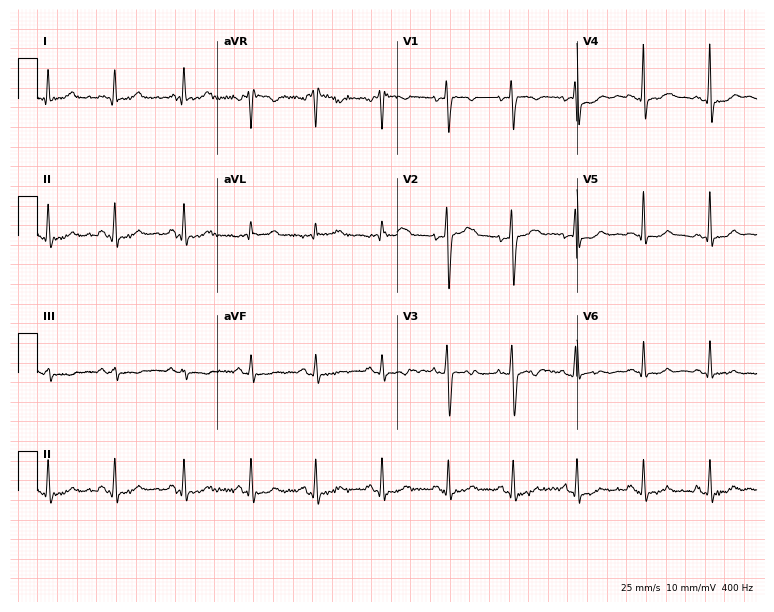
Electrocardiogram (7.3-second recording at 400 Hz), a woman, 53 years old. Overall reading on record: normal ECG.